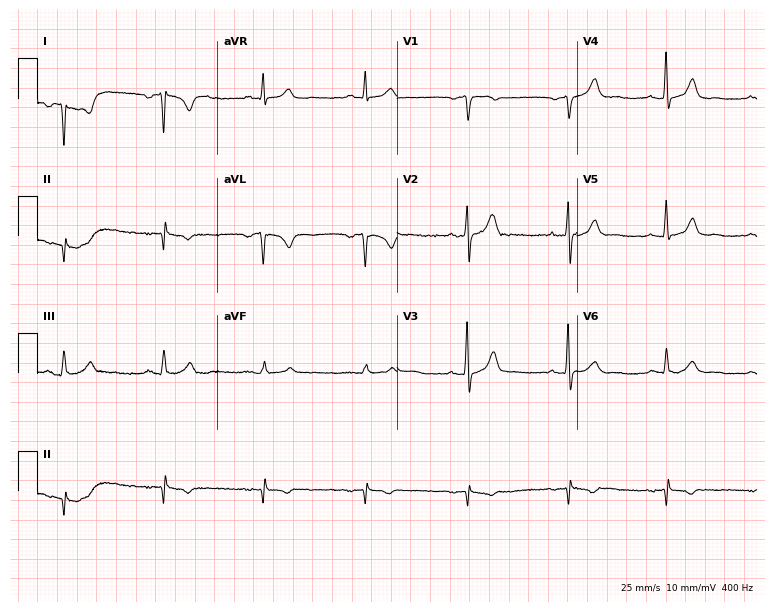
Resting 12-lead electrocardiogram. Patient: a 61-year-old male. None of these six findings is recorded: first-degree AV block, right bundle branch block, left bundle branch block, sinus bradycardia, atrial fibrillation, sinus tachycardia.